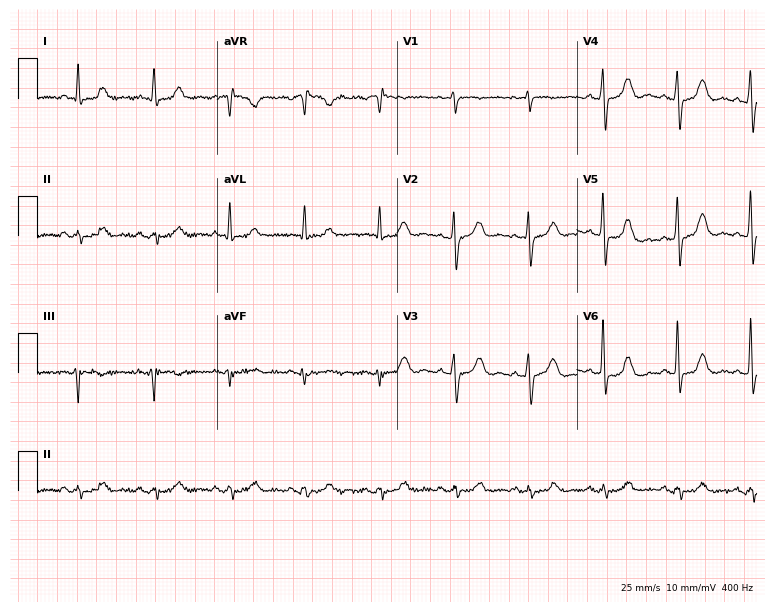
Standard 12-lead ECG recorded from a 65-year-old female. Read as a normal ECG.